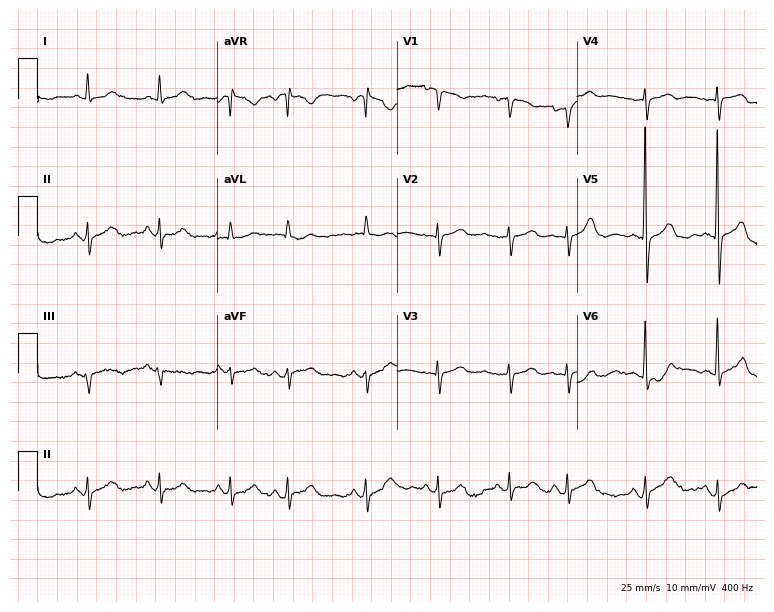
12-lead ECG from a 75-year-old woman. No first-degree AV block, right bundle branch block (RBBB), left bundle branch block (LBBB), sinus bradycardia, atrial fibrillation (AF) or sinus tachycardia recorded for this tracing.